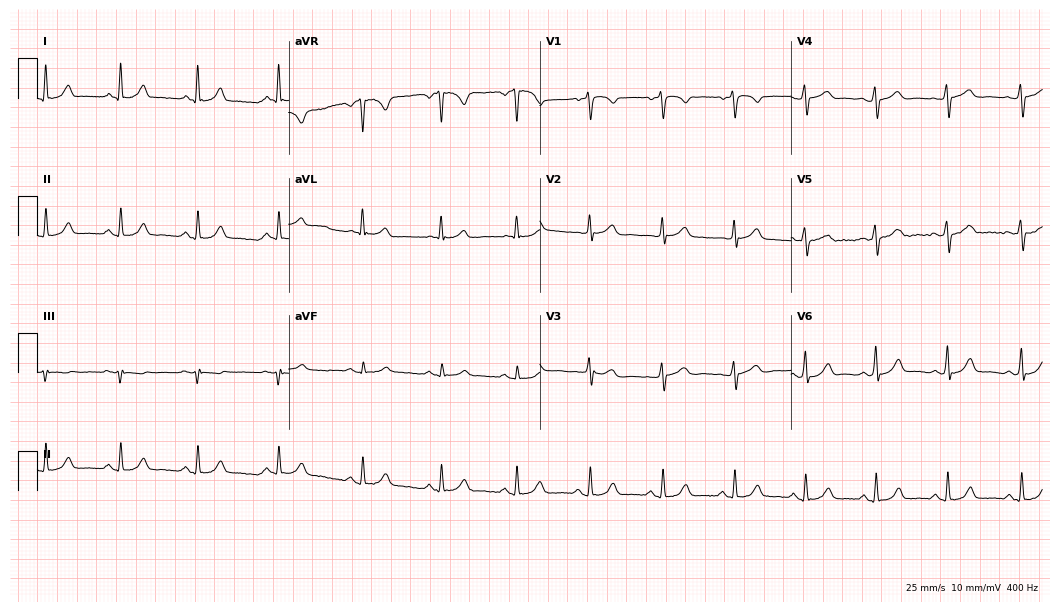
Resting 12-lead electrocardiogram. Patient: a female, 49 years old. Read as a normal ECG.